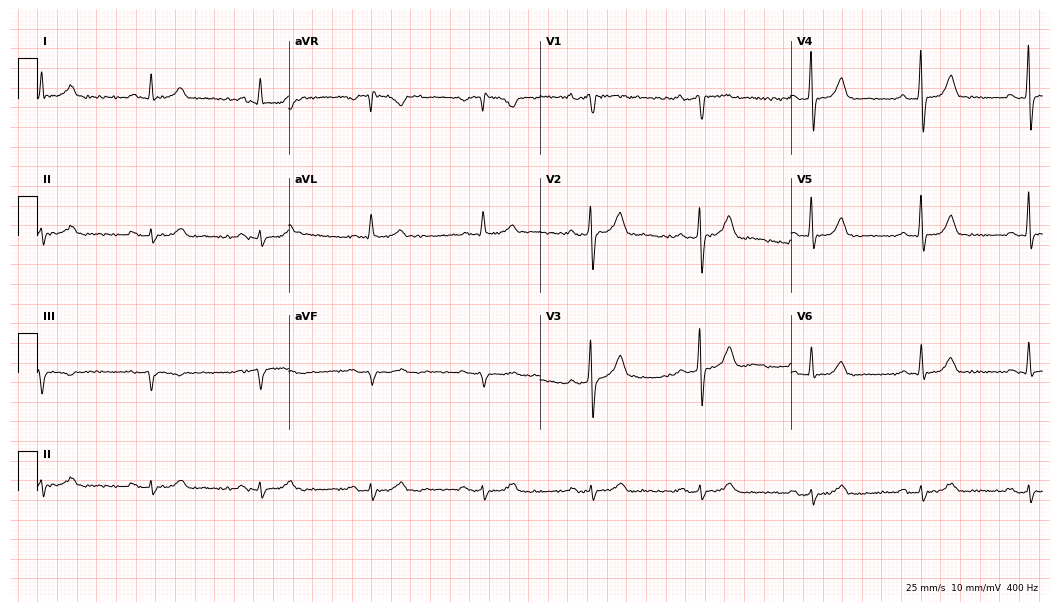
Electrocardiogram, a male, 80 years old. Of the six screened findings (first-degree AV block, right bundle branch block (RBBB), left bundle branch block (LBBB), sinus bradycardia, atrial fibrillation (AF), sinus tachycardia), none is recorded. Other findings, if any, are not listed.